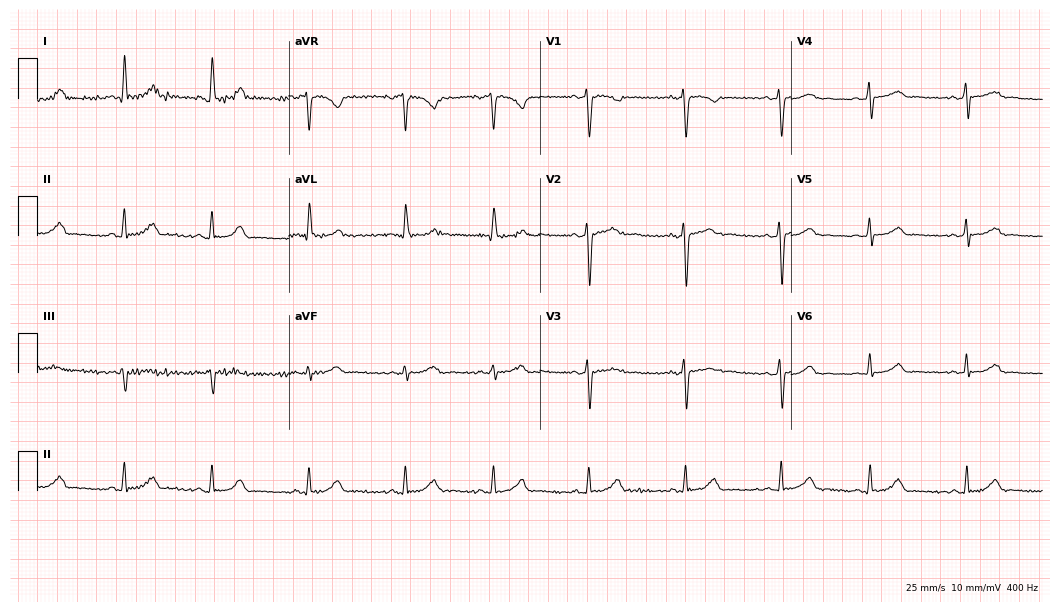
12-lead ECG from a 31-year-old female patient. Labelled as a normal ECG.